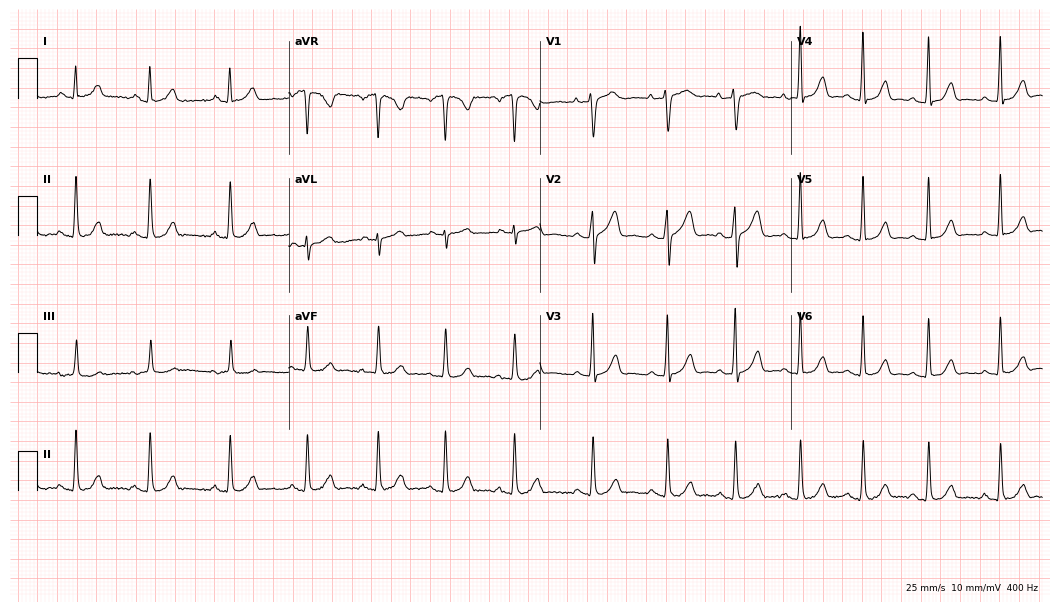
Electrocardiogram (10.2-second recording at 400 Hz), a 32-year-old woman. Of the six screened findings (first-degree AV block, right bundle branch block, left bundle branch block, sinus bradycardia, atrial fibrillation, sinus tachycardia), none is recorded. Other findings, if any, are not listed.